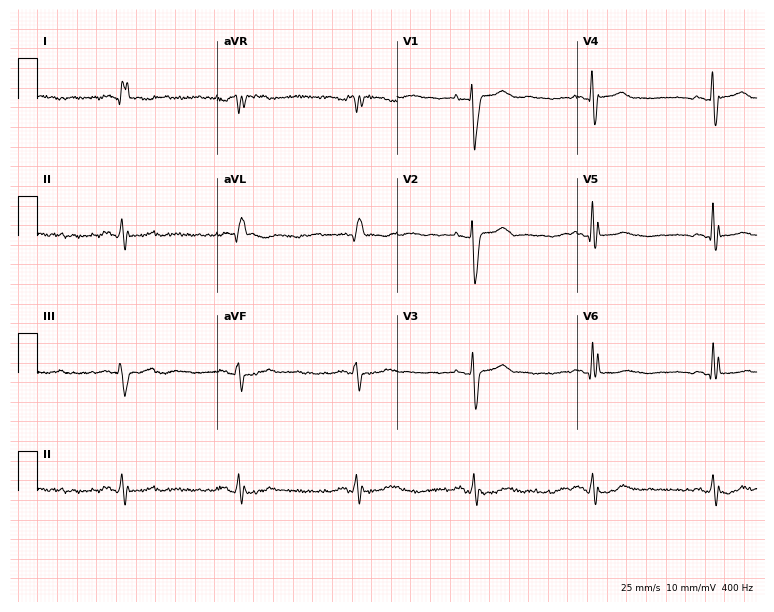
Resting 12-lead electrocardiogram. Patient: a 77-year-old female. The tracing shows left bundle branch block (LBBB).